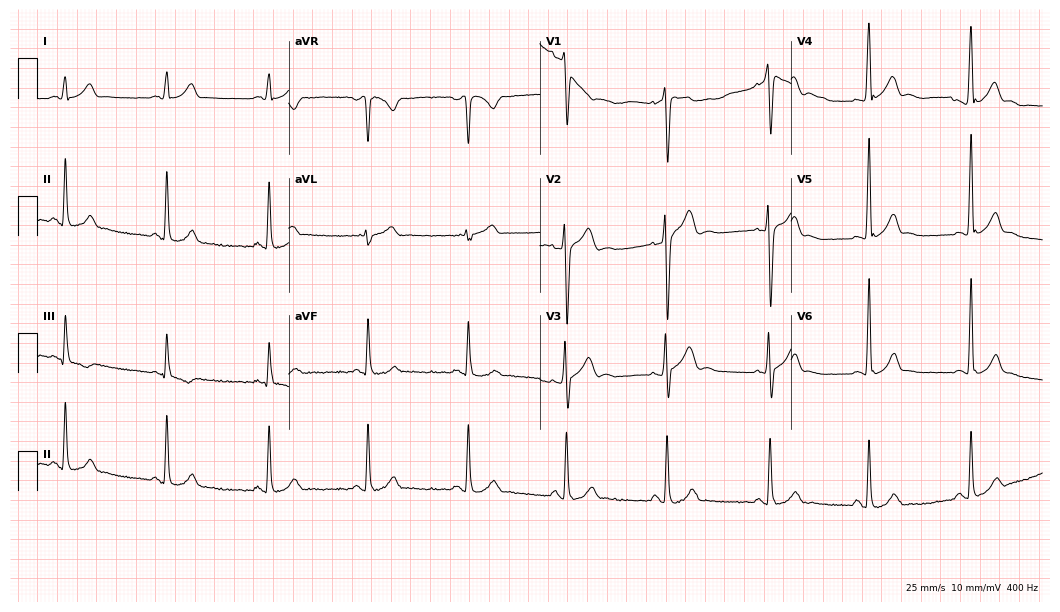
Standard 12-lead ECG recorded from a 19-year-old man. Read as a normal ECG.